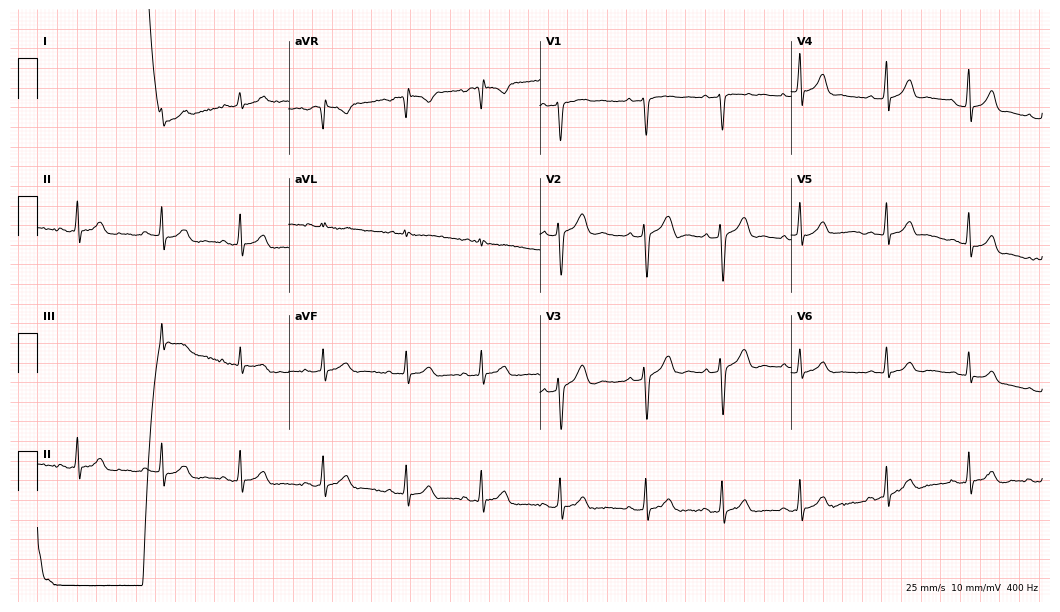
Resting 12-lead electrocardiogram. Patient: a 22-year-old female. Read as a normal ECG.